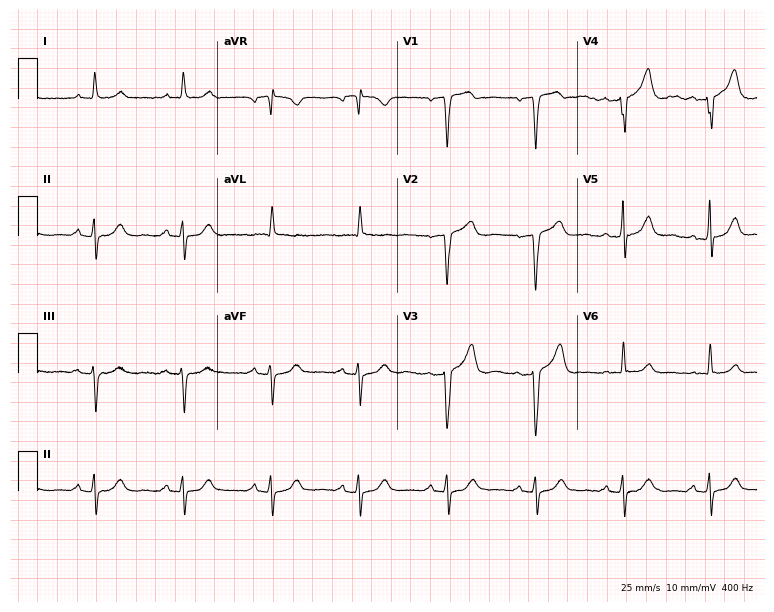
ECG — a 75-year-old male patient. Screened for six findings — first-degree AV block, right bundle branch block, left bundle branch block, sinus bradycardia, atrial fibrillation, sinus tachycardia — none is recorded.